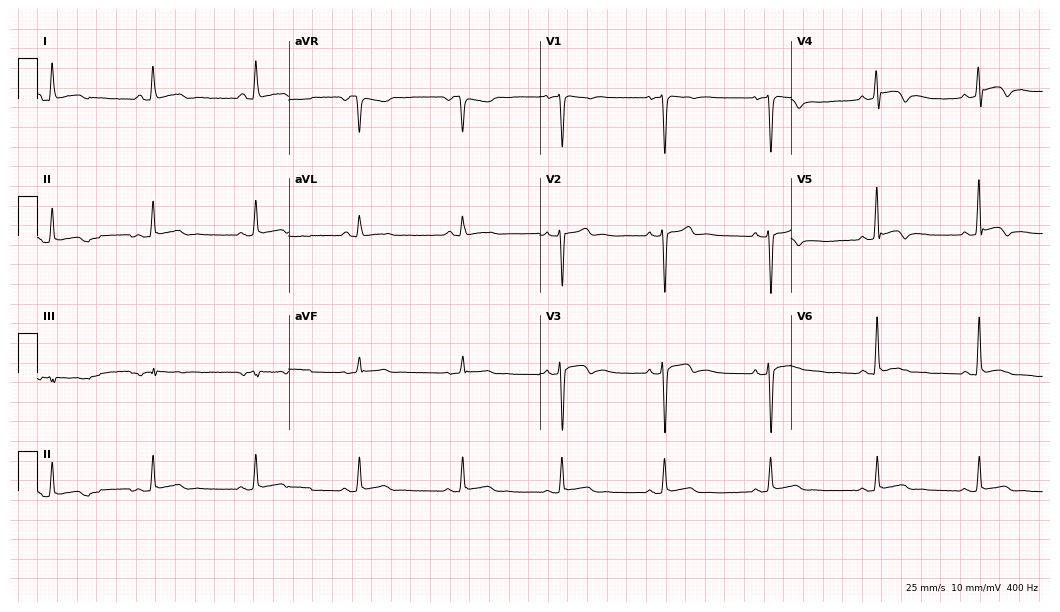
Resting 12-lead electrocardiogram. Patient: a 24-year-old man. Read as a normal ECG.